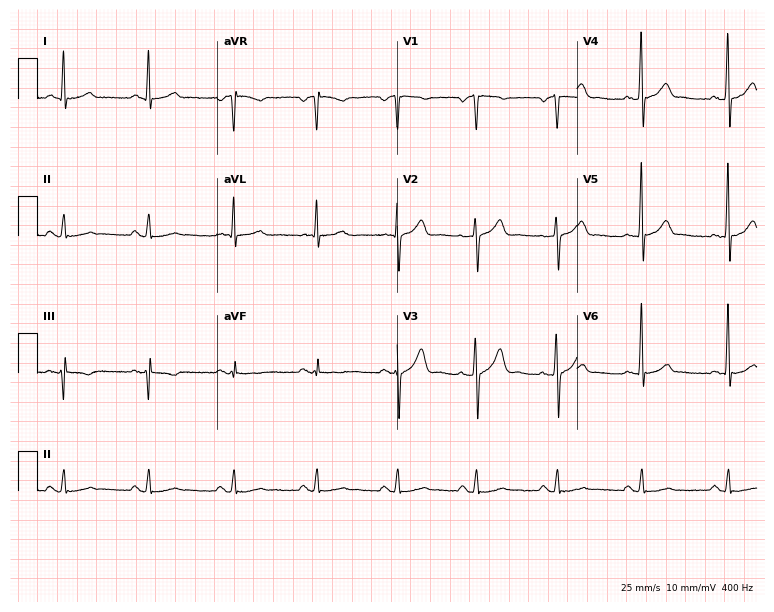
Electrocardiogram (7.3-second recording at 400 Hz), a 44-year-old male. Of the six screened findings (first-degree AV block, right bundle branch block (RBBB), left bundle branch block (LBBB), sinus bradycardia, atrial fibrillation (AF), sinus tachycardia), none is recorded.